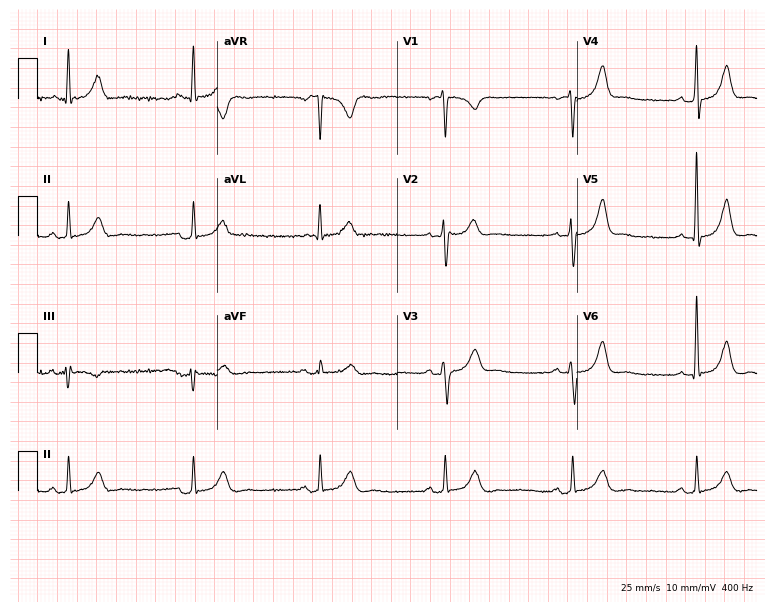
Resting 12-lead electrocardiogram (7.3-second recording at 400 Hz). Patient: a 58-year-old male. The tracing shows sinus bradycardia (a sinus rate of 50 beats per minute or less).